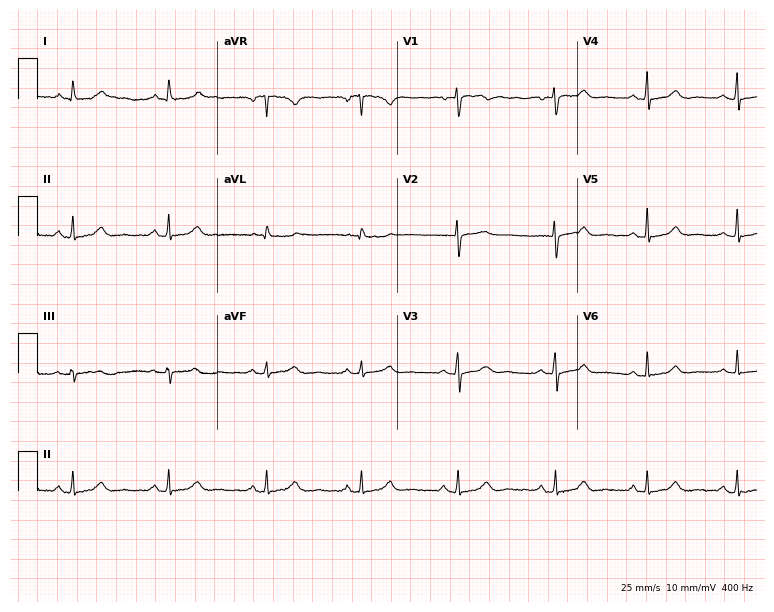
12-lead ECG from a female patient, 60 years old. Labelled as a normal ECG.